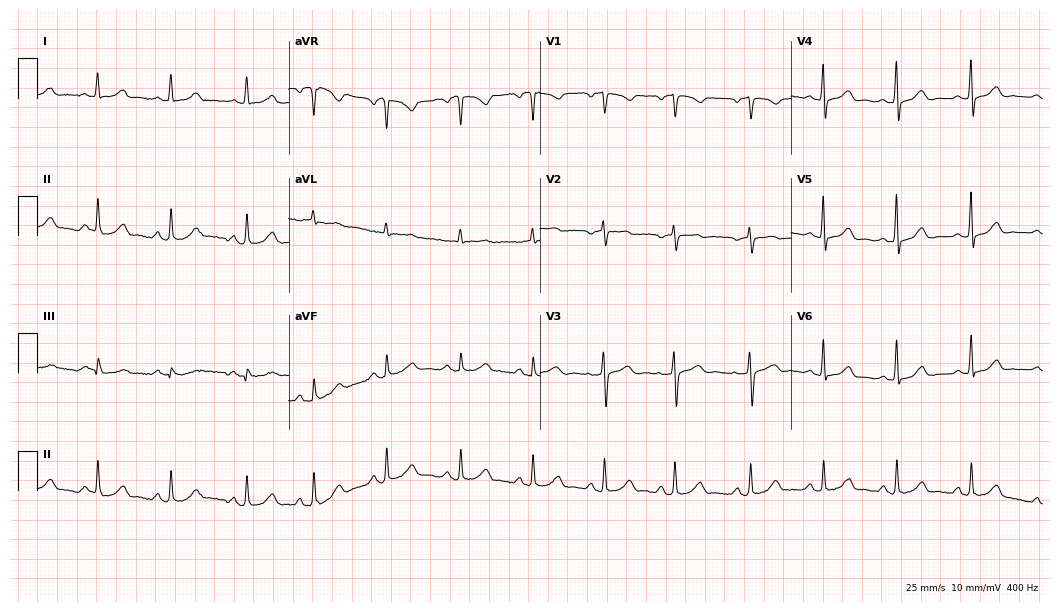
12-lead ECG from a female, 69 years old (10.2-second recording at 400 Hz). Recorded interpretation: within normal limits.